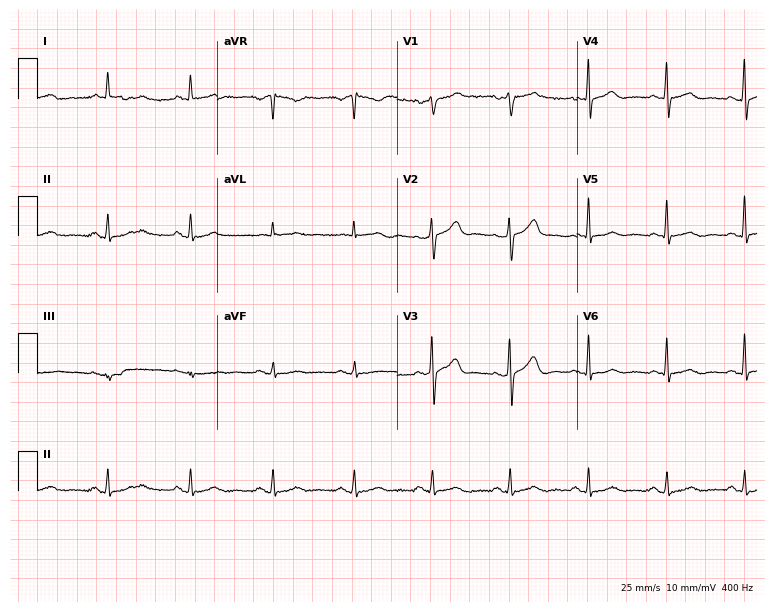
Resting 12-lead electrocardiogram (7.3-second recording at 400 Hz). Patient: a female, 63 years old. None of these six findings is recorded: first-degree AV block, right bundle branch block, left bundle branch block, sinus bradycardia, atrial fibrillation, sinus tachycardia.